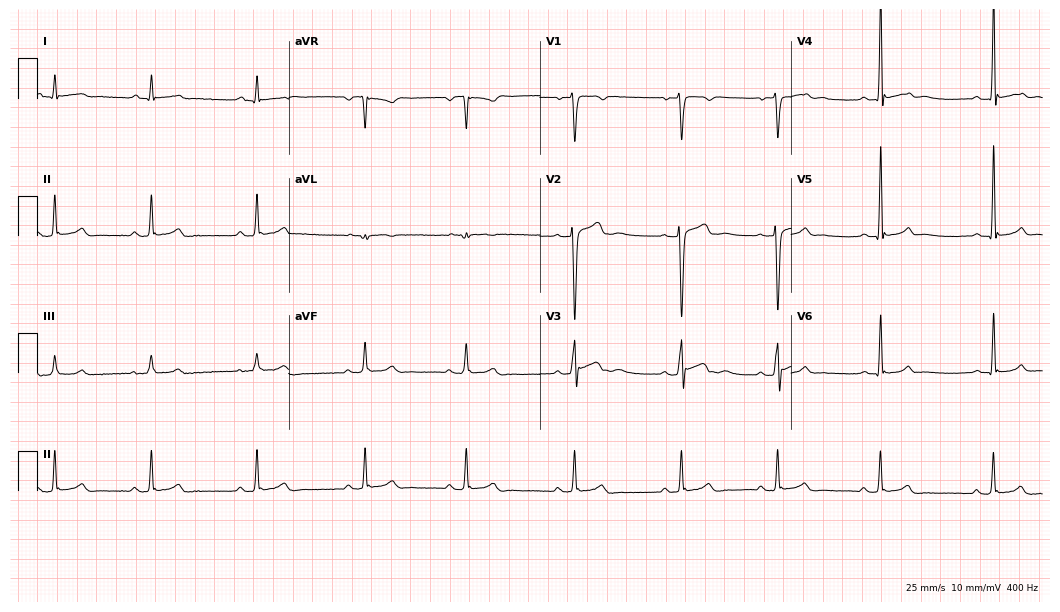
Electrocardiogram (10.2-second recording at 400 Hz), an 18-year-old man. Overall reading on record: normal ECG.